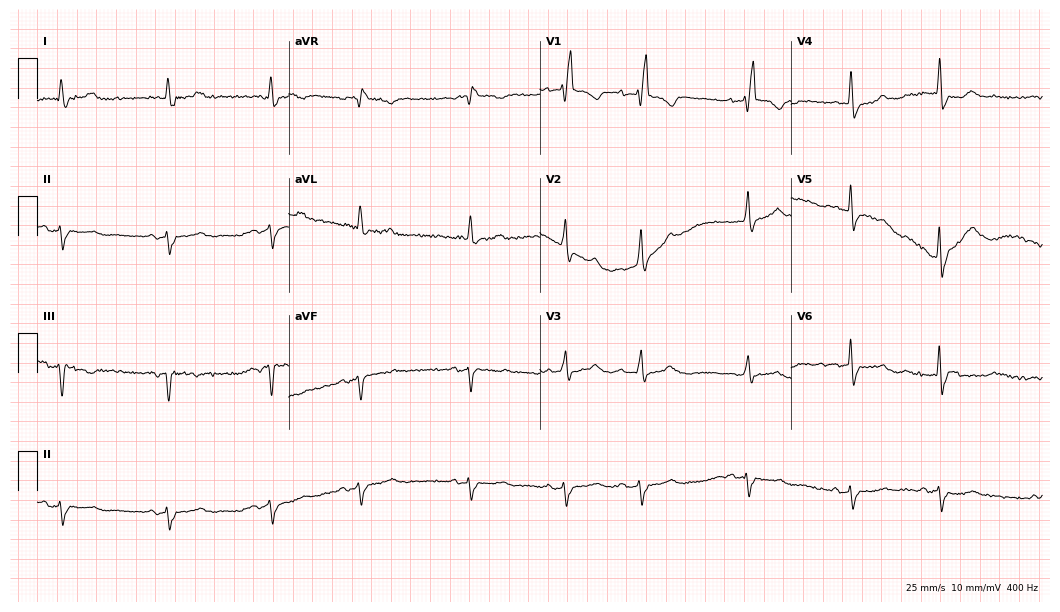
12-lead ECG from an 81-year-old female. Findings include right bundle branch block, atrial fibrillation.